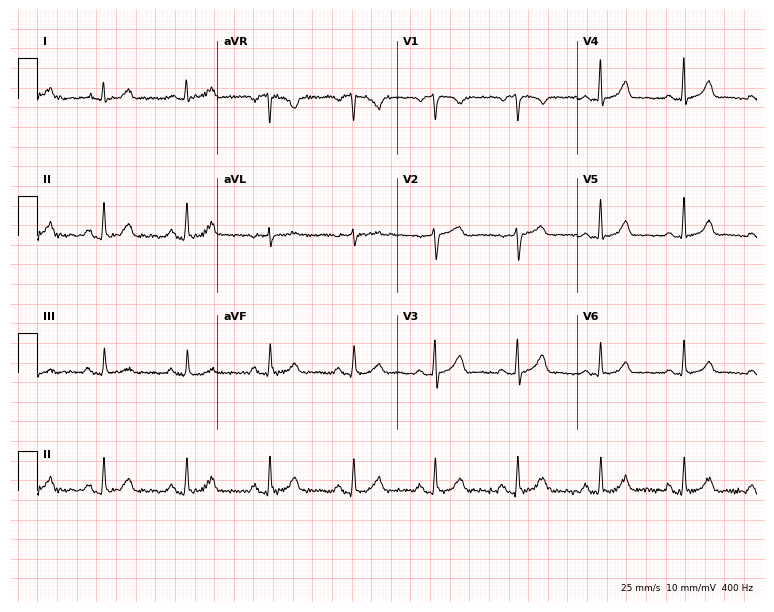
Standard 12-lead ECG recorded from a female, 39 years old. Read as a normal ECG.